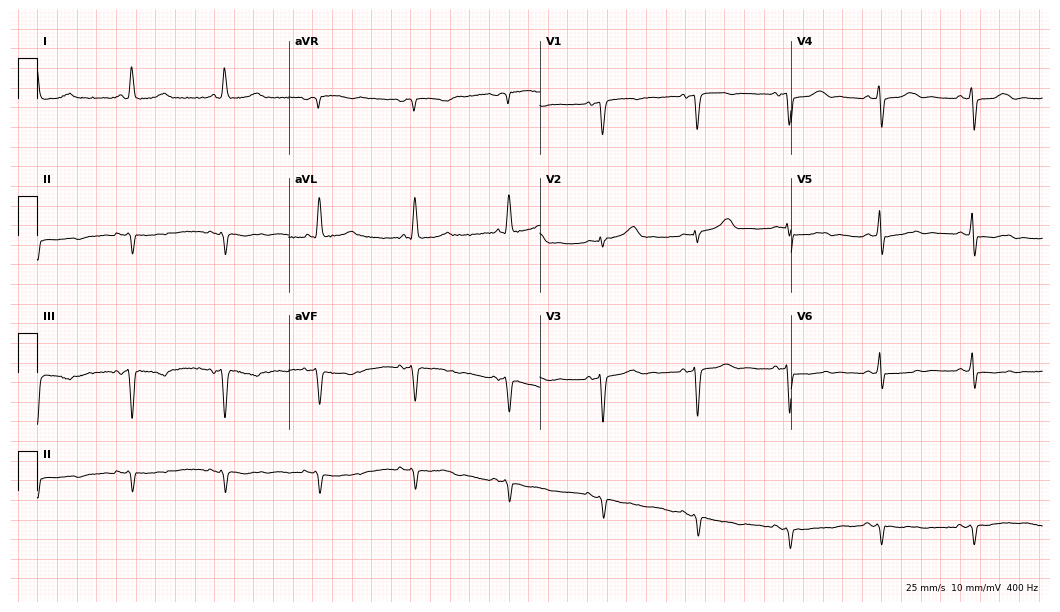
Electrocardiogram, a 74-year-old female patient. Overall reading on record: normal ECG.